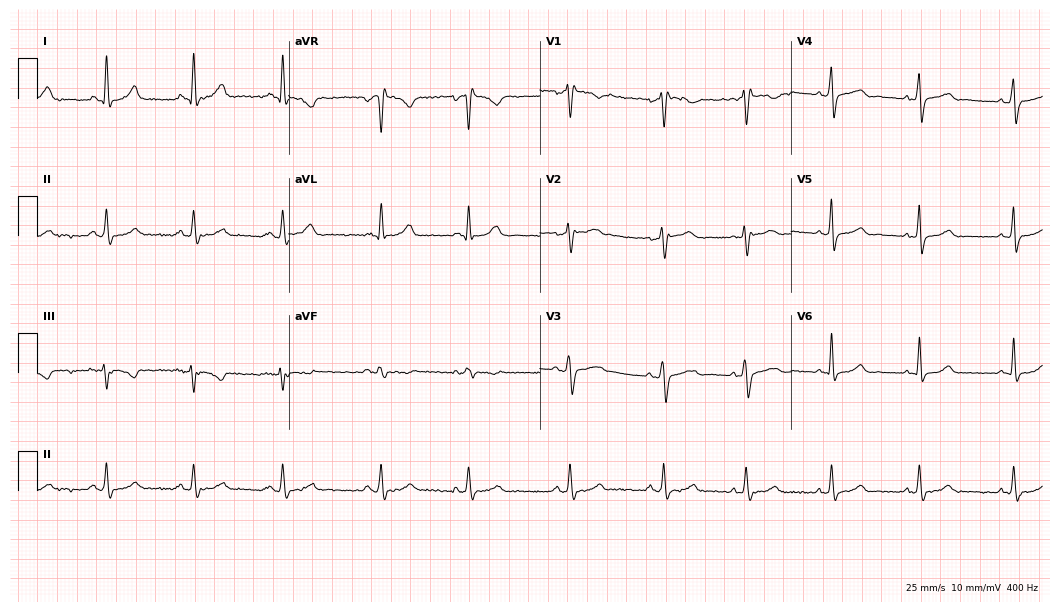
Resting 12-lead electrocardiogram. Patient: a female, 45 years old. None of these six findings is recorded: first-degree AV block, right bundle branch block, left bundle branch block, sinus bradycardia, atrial fibrillation, sinus tachycardia. Other findings, if any, are not listed.